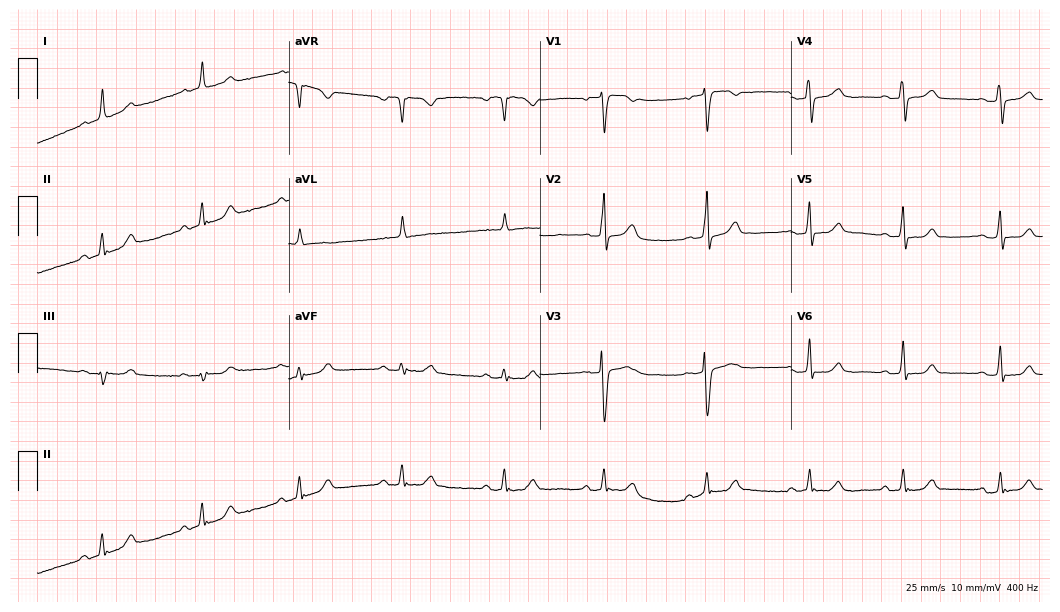
Resting 12-lead electrocardiogram. Patient: a 74-year-old female. None of these six findings is recorded: first-degree AV block, right bundle branch block, left bundle branch block, sinus bradycardia, atrial fibrillation, sinus tachycardia. Only these six findings were labelled.